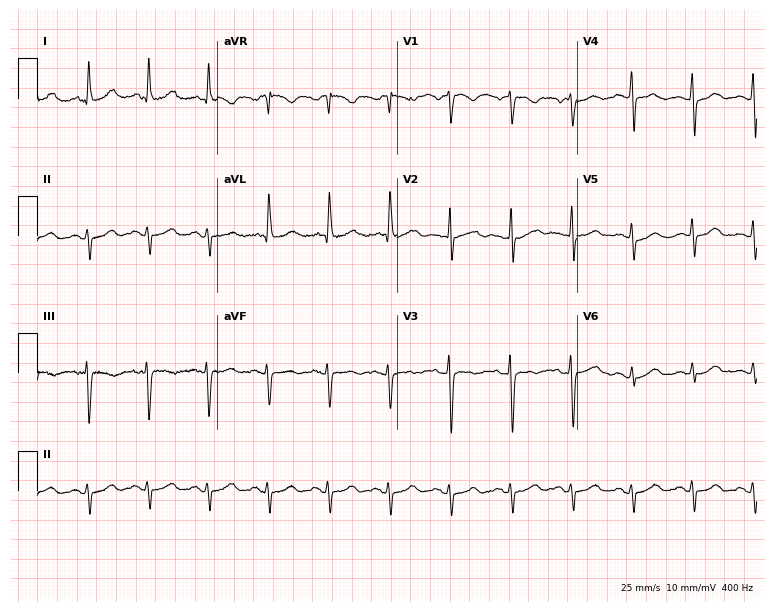
Standard 12-lead ECG recorded from a female, 59 years old (7.3-second recording at 400 Hz). None of these six findings is recorded: first-degree AV block, right bundle branch block, left bundle branch block, sinus bradycardia, atrial fibrillation, sinus tachycardia. Findings outside these six are not listed.